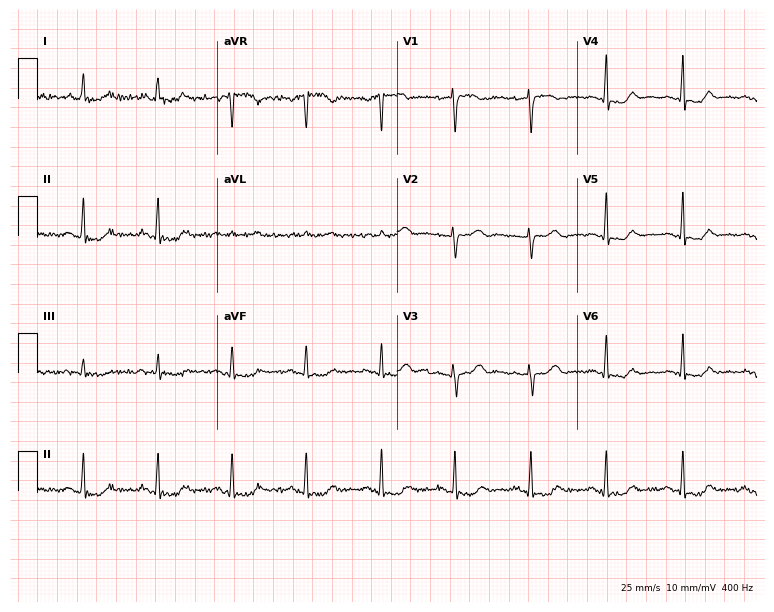
Electrocardiogram (7.3-second recording at 400 Hz), a 68-year-old woman. Overall reading on record: normal ECG.